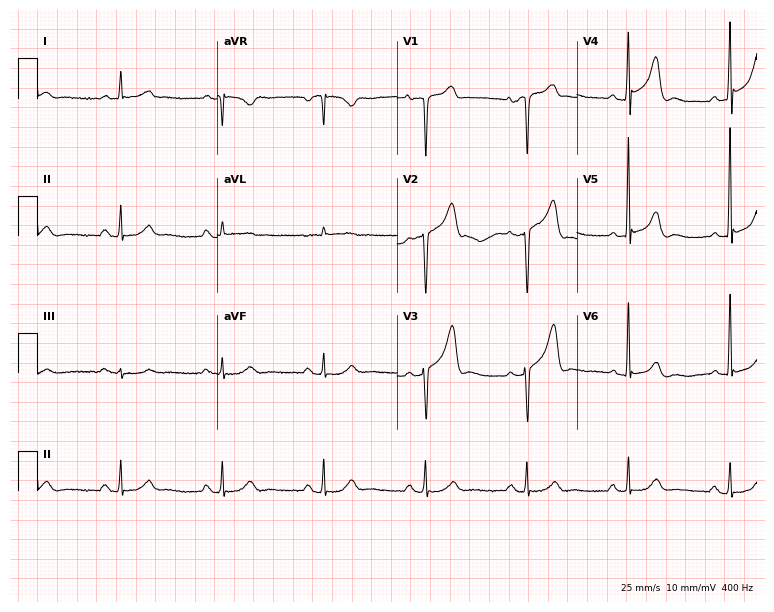
Resting 12-lead electrocardiogram (7.3-second recording at 400 Hz). Patient: a male, 78 years old. Read as a normal ECG.